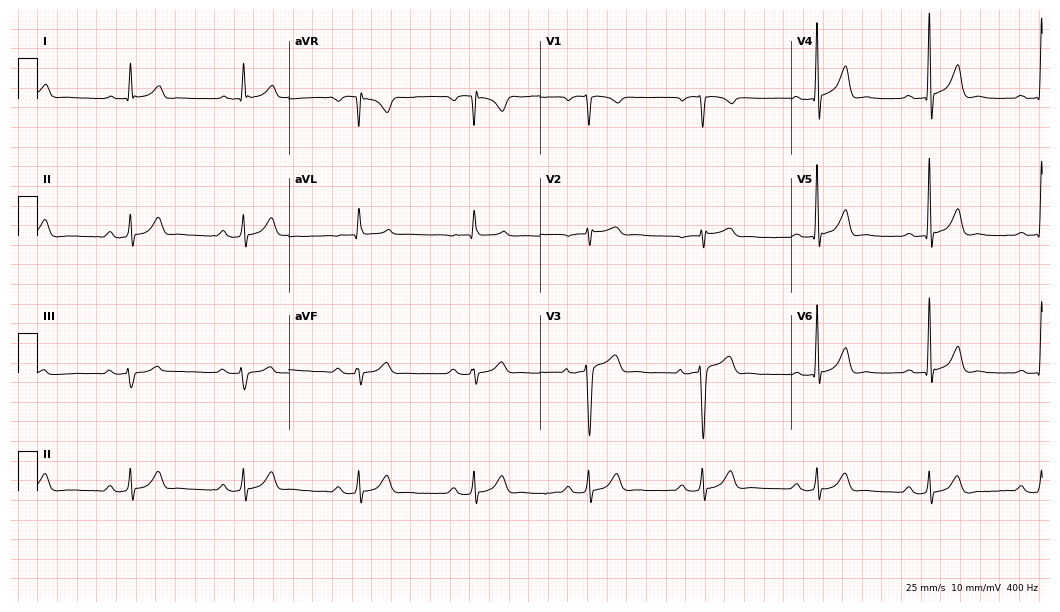
Standard 12-lead ECG recorded from a man, 67 years old (10.2-second recording at 400 Hz). The tracing shows first-degree AV block.